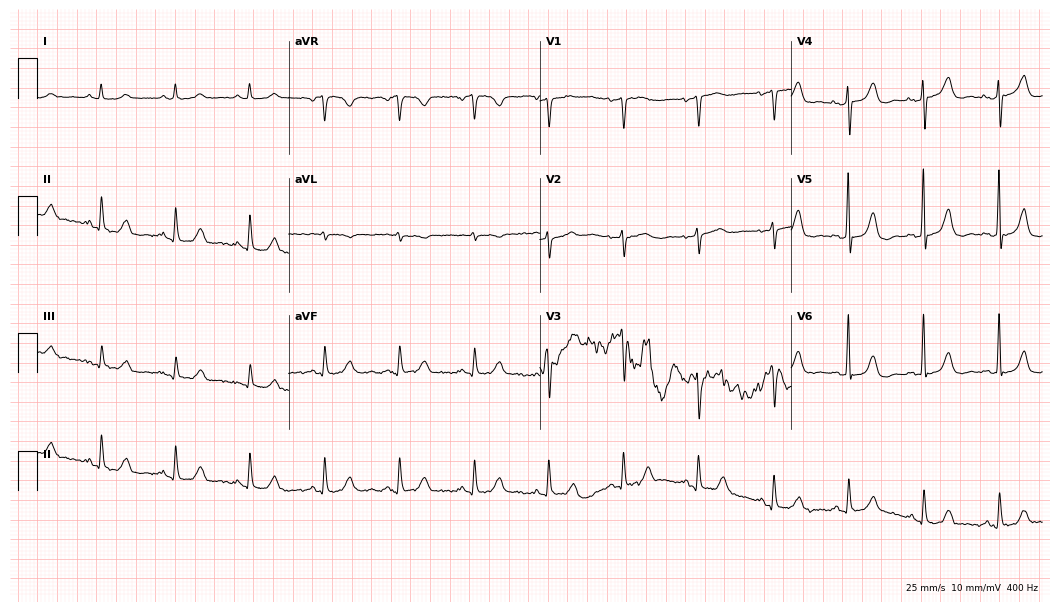
Resting 12-lead electrocardiogram (10.2-second recording at 400 Hz). Patient: a woman, 73 years old. Read as a normal ECG.